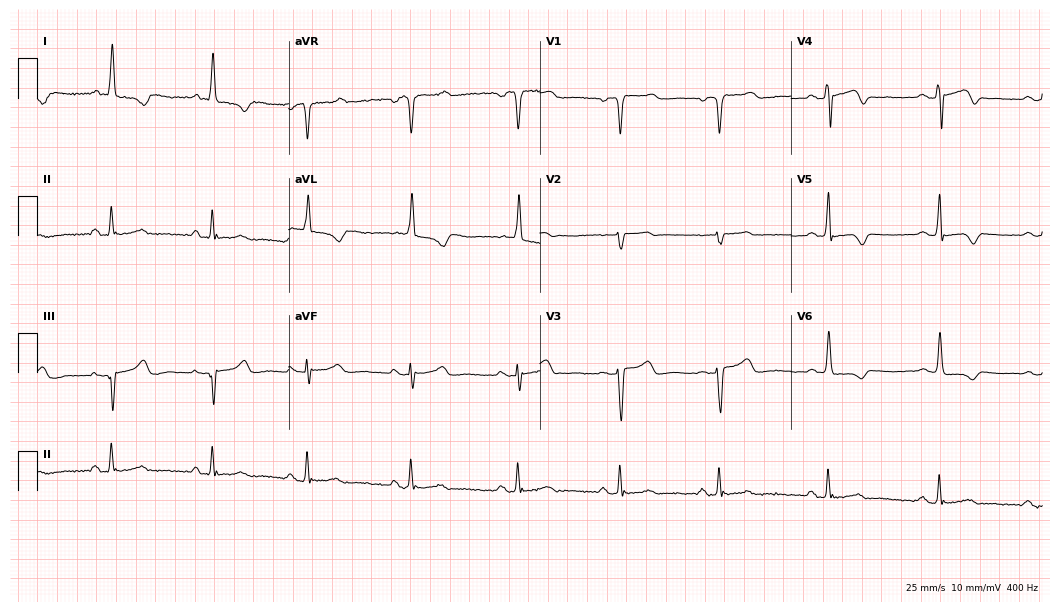
Resting 12-lead electrocardiogram (10.2-second recording at 400 Hz). Patient: a 74-year-old female. None of these six findings is recorded: first-degree AV block, right bundle branch block, left bundle branch block, sinus bradycardia, atrial fibrillation, sinus tachycardia. Findings outside these six are not listed.